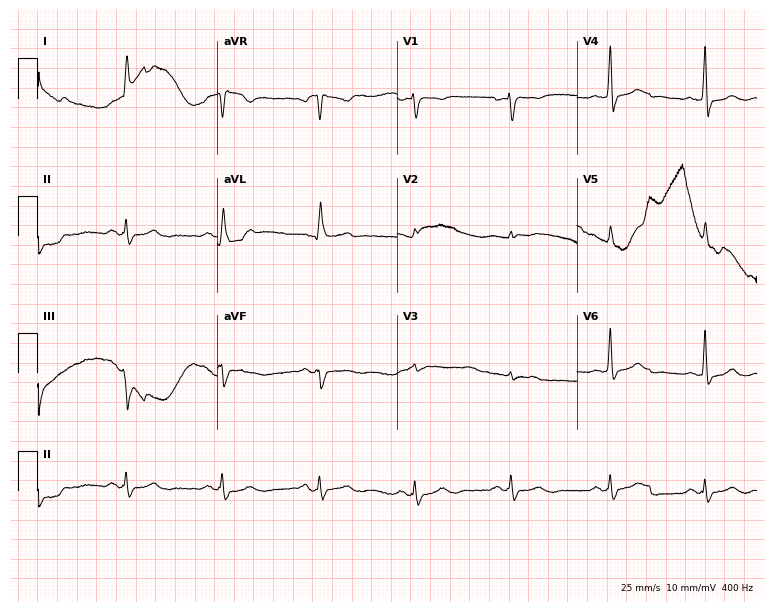
Standard 12-lead ECG recorded from a woman, 63 years old (7.3-second recording at 400 Hz). None of these six findings is recorded: first-degree AV block, right bundle branch block, left bundle branch block, sinus bradycardia, atrial fibrillation, sinus tachycardia.